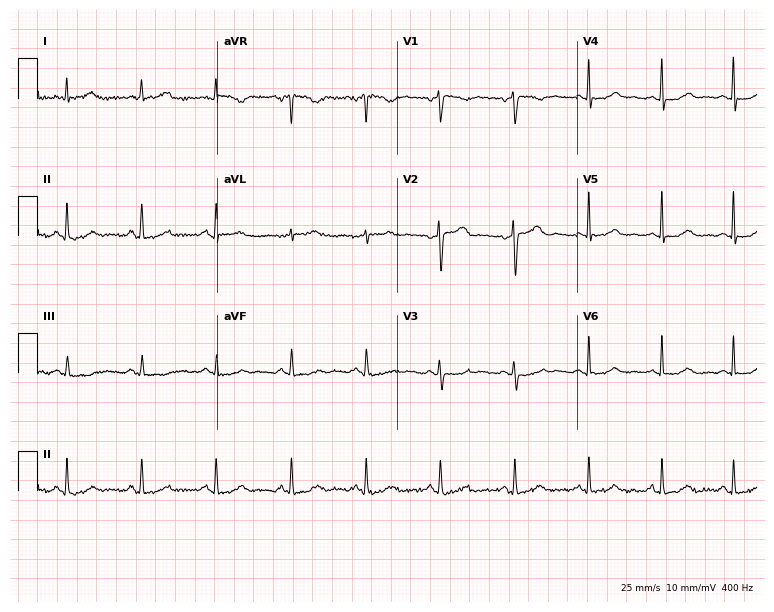
12-lead ECG from a 46-year-old woman. Recorded interpretation: within normal limits.